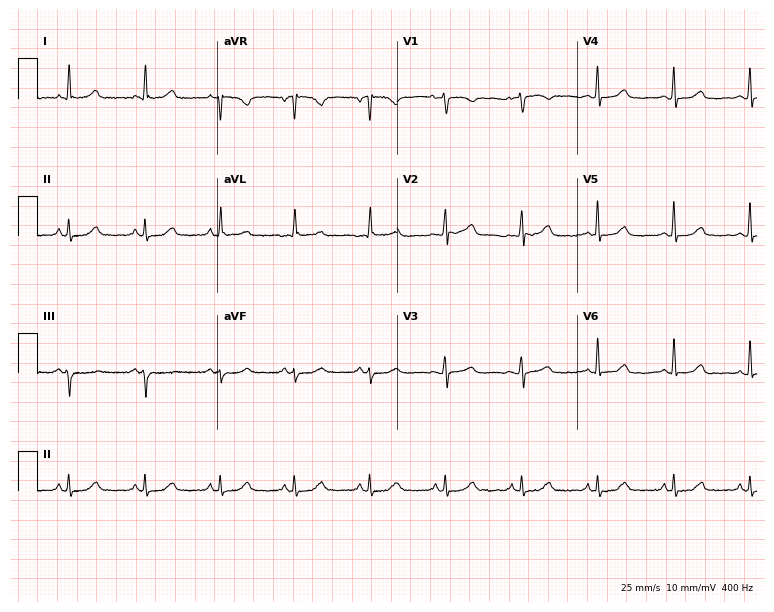
12-lead ECG from a woman, 77 years old. Screened for six findings — first-degree AV block, right bundle branch block, left bundle branch block, sinus bradycardia, atrial fibrillation, sinus tachycardia — none is recorded.